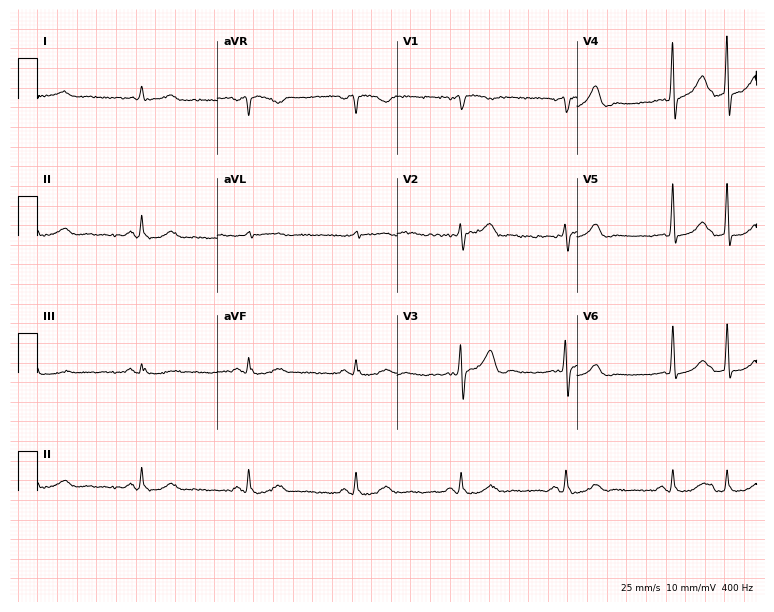
ECG — an 81-year-old man. Screened for six findings — first-degree AV block, right bundle branch block (RBBB), left bundle branch block (LBBB), sinus bradycardia, atrial fibrillation (AF), sinus tachycardia — none is recorded.